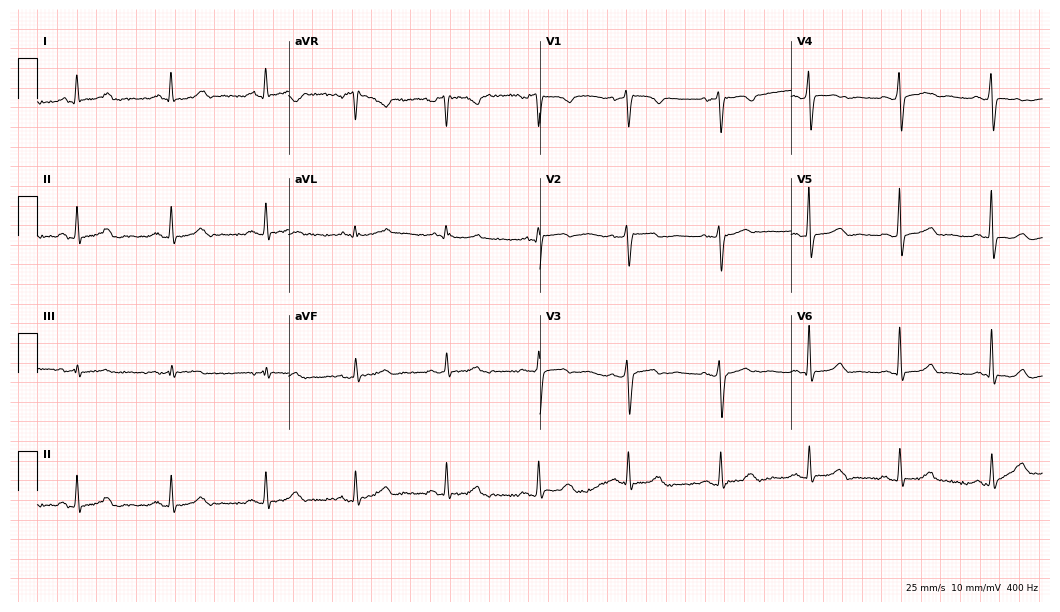
Resting 12-lead electrocardiogram (10.2-second recording at 400 Hz). Patient: a 53-year-old woman. Read as a normal ECG.